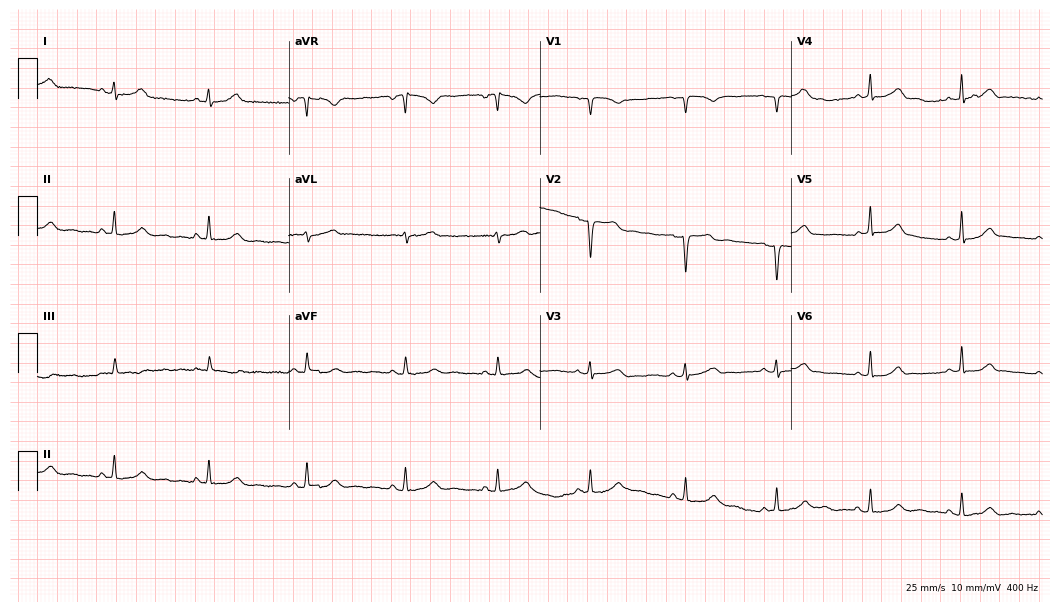
12-lead ECG from a 32-year-old female patient. Recorded interpretation: within normal limits.